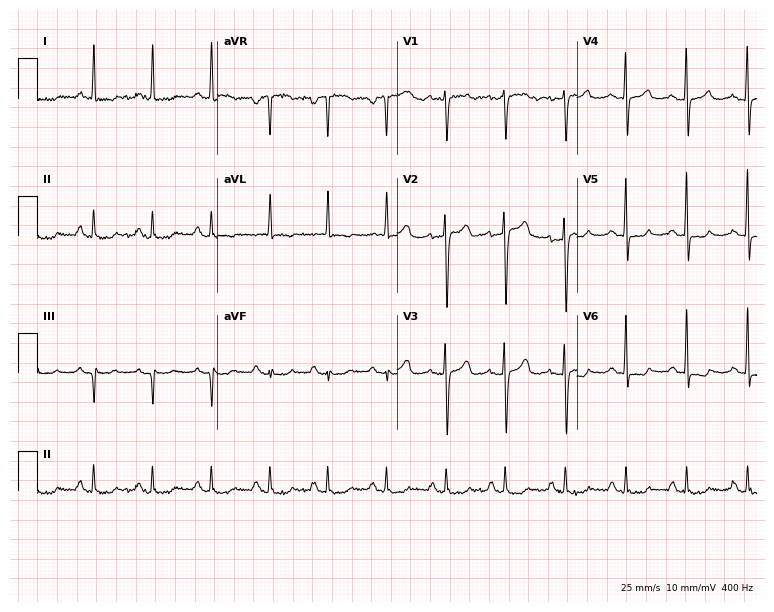
12-lead ECG from a female, 69 years old. No first-degree AV block, right bundle branch block, left bundle branch block, sinus bradycardia, atrial fibrillation or sinus tachycardia recorded for this tracing. Other findings, if any, are not listed.